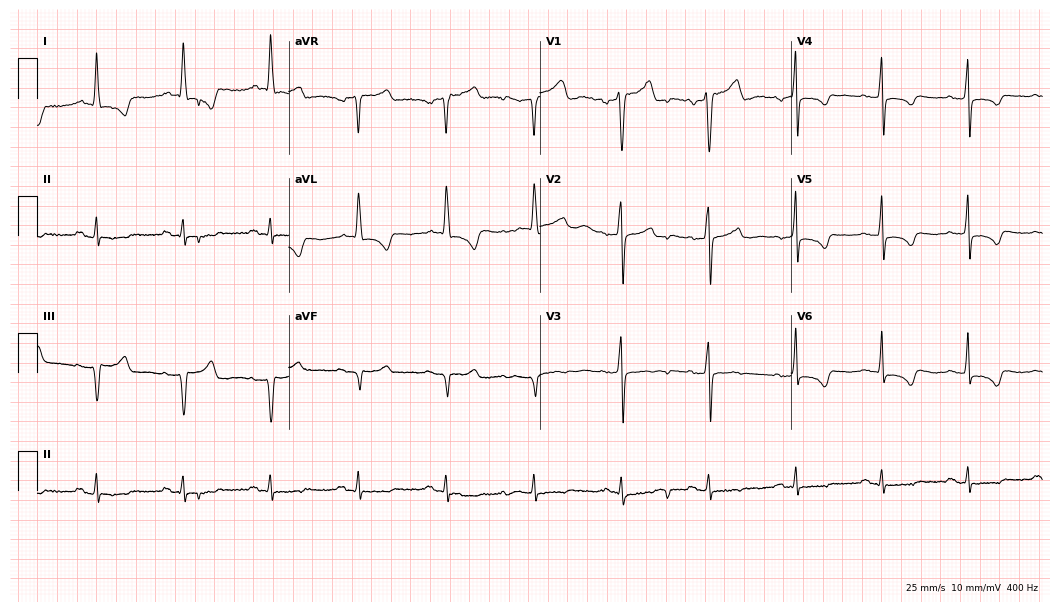
12-lead ECG from a 60-year-old male. Screened for six findings — first-degree AV block, right bundle branch block, left bundle branch block, sinus bradycardia, atrial fibrillation, sinus tachycardia — none is recorded. Only these six findings were labelled.